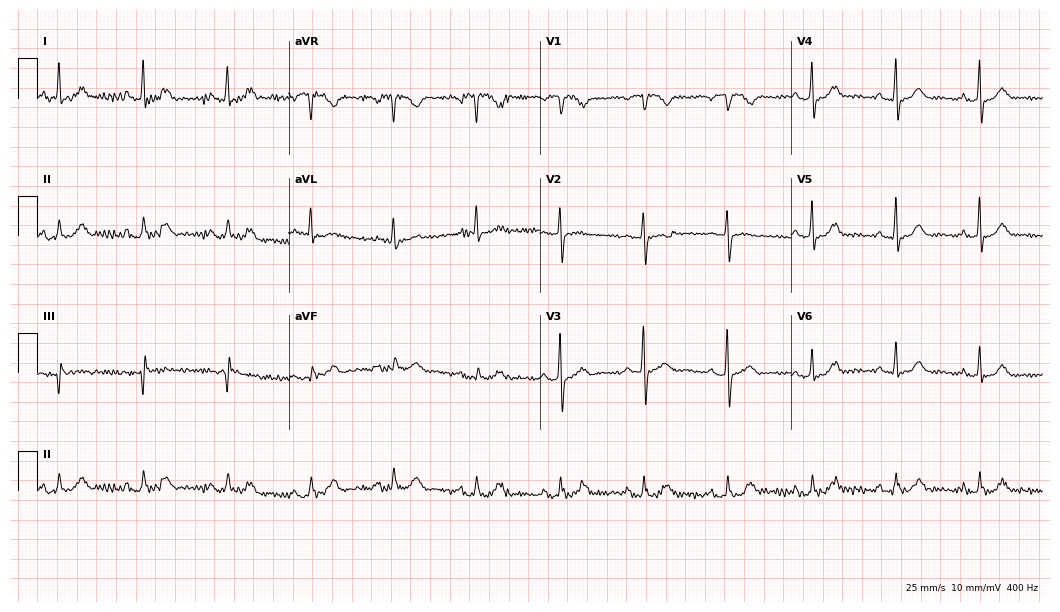
ECG — a female patient, 19 years old. Labelled as a normal ECG.